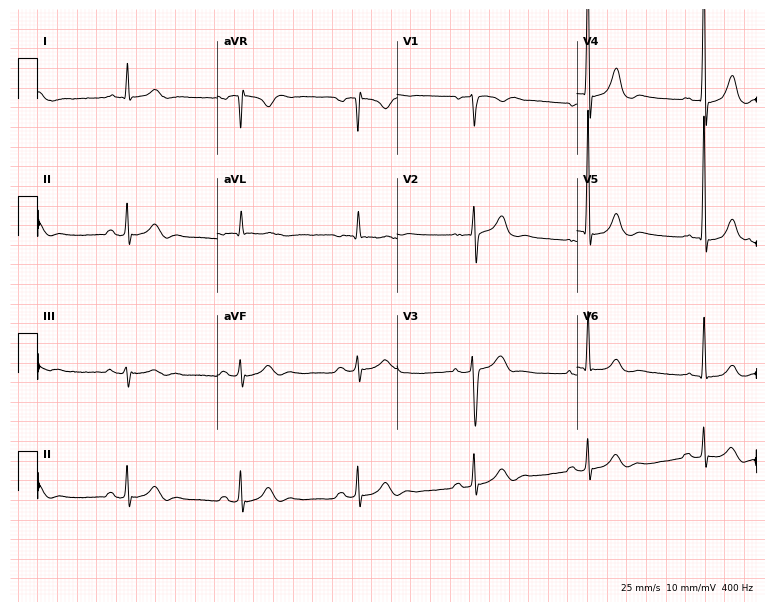
Standard 12-lead ECG recorded from a male patient, 77 years old (7.3-second recording at 400 Hz). None of these six findings is recorded: first-degree AV block, right bundle branch block (RBBB), left bundle branch block (LBBB), sinus bradycardia, atrial fibrillation (AF), sinus tachycardia. Findings outside these six are not listed.